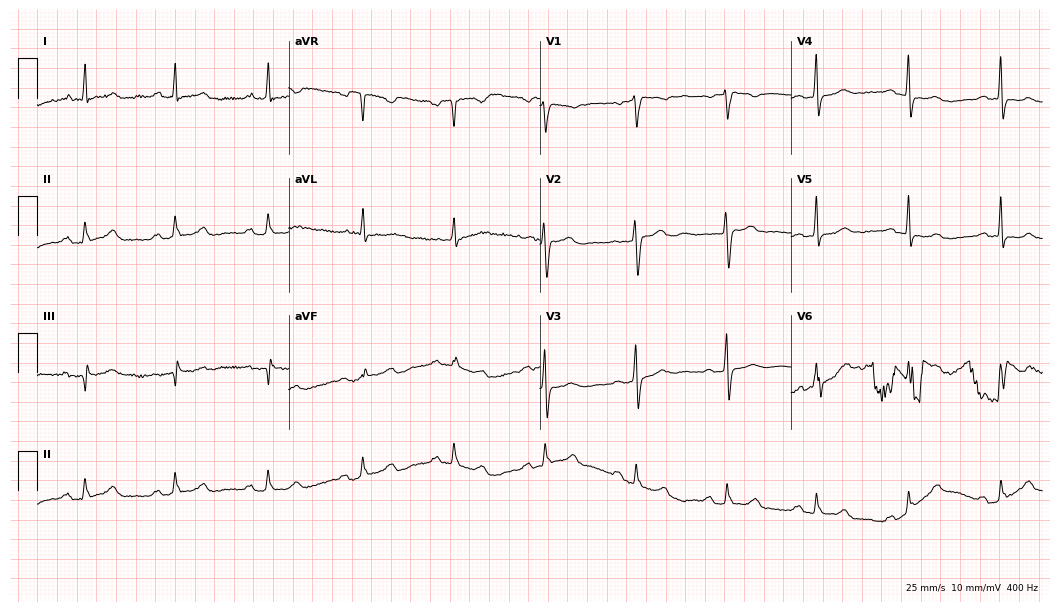
12-lead ECG from a woman, 52 years old. Recorded interpretation: within normal limits.